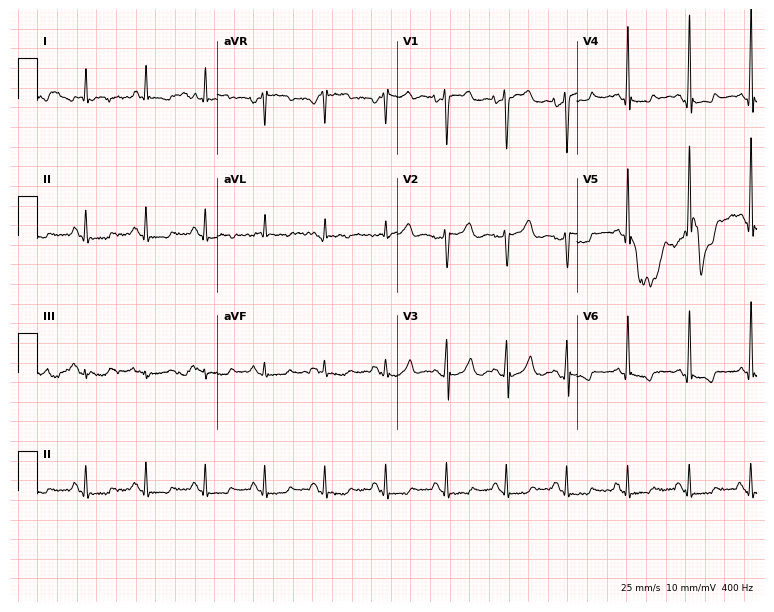
12-lead ECG from a male, 66 years old. Screened for six findings — first-degree AV block, right bundle branch block, left bundle branch block, sinus bradycardia, atrial fibrillation, sinus tachycardia — none is recorded.